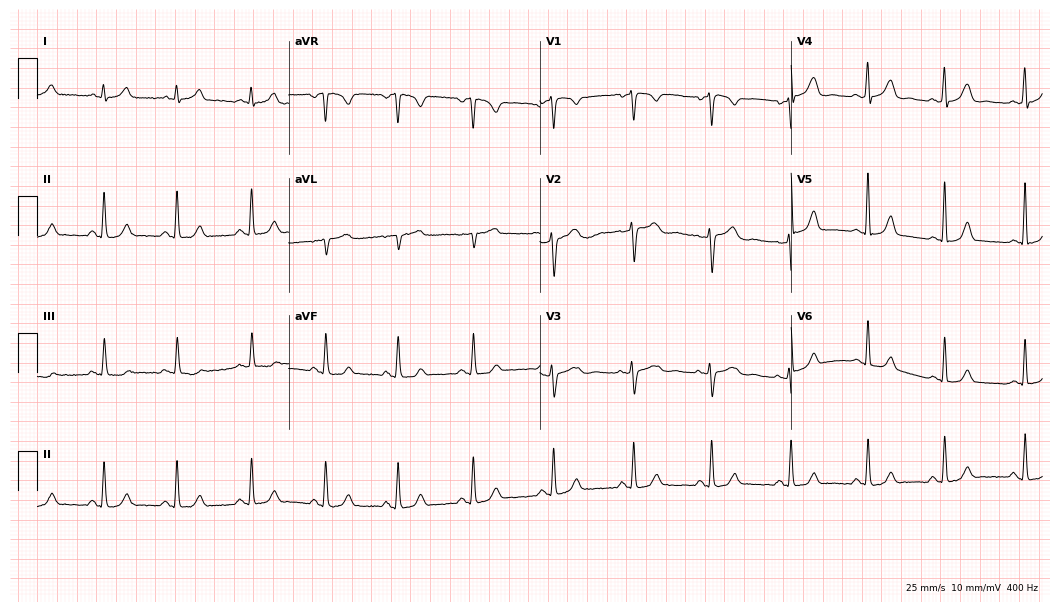
Resting 12-lead electrocardiogram. Patient: a 43-year-old female. Read as a normal ECG.